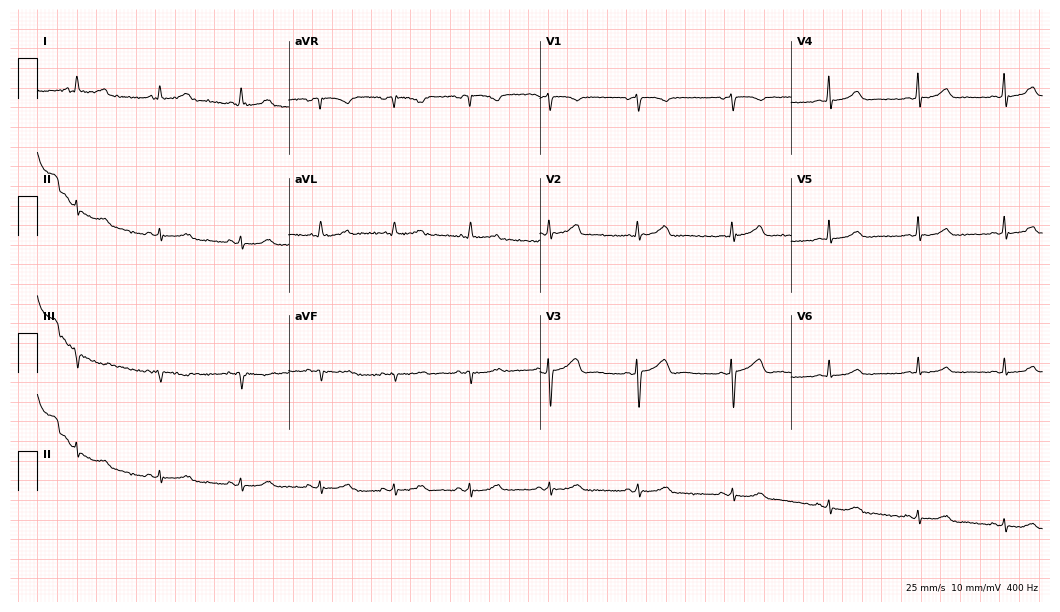
Standard 12-lead ECG recorded from a 44-year-old female patient (10.2-second recording at 400 Hz). None of these six findings is recorded: first-degree AV block, right bundle branch block (RBBB), left bundle branch block (LBBB), sinus bradycardia, atrial fibrillation (AF), sinus tachycardia.